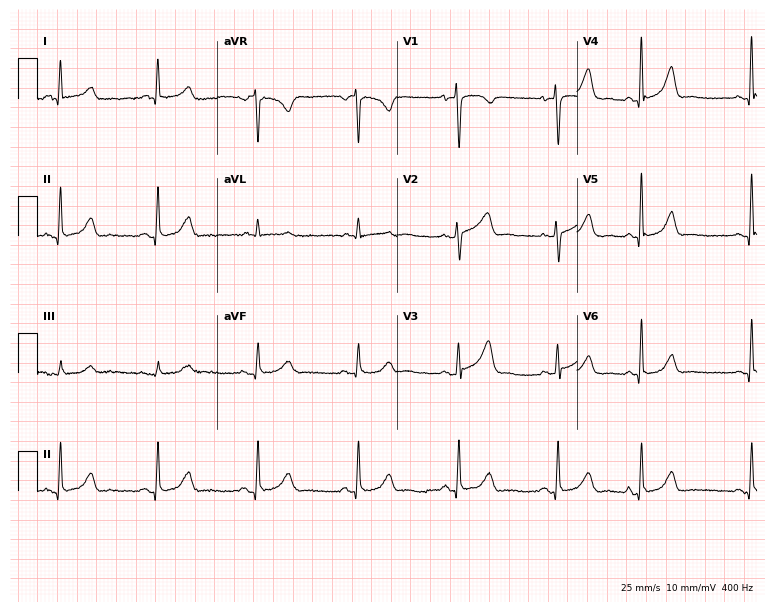
12-lead ECG from a 63-year-old woman. Labelled as a normal ECG.